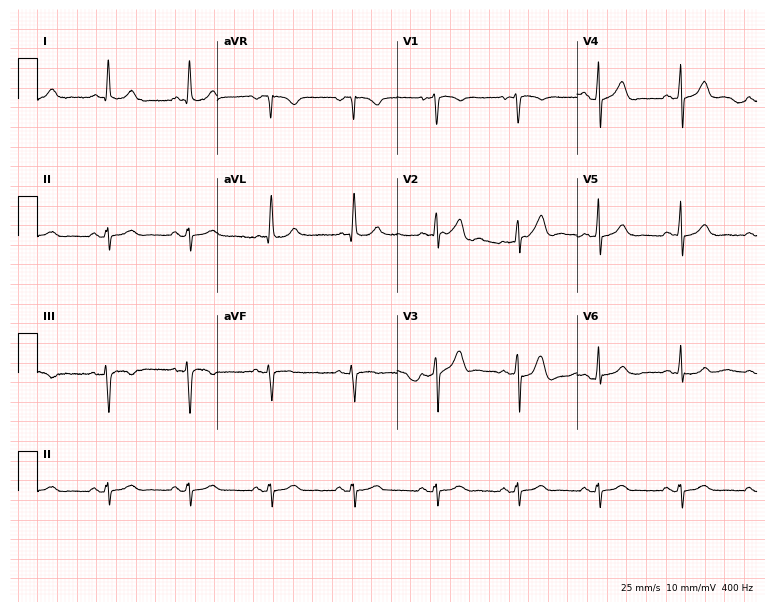
Resting 12-lead electrocardiogram. Patient: a 62-year-old man. None of these six findings is recorded: first-degree AV block, right bundle branch block, left bundle branch block, sinus bradycardia, atrial fibrillation, sinus tachycardia.